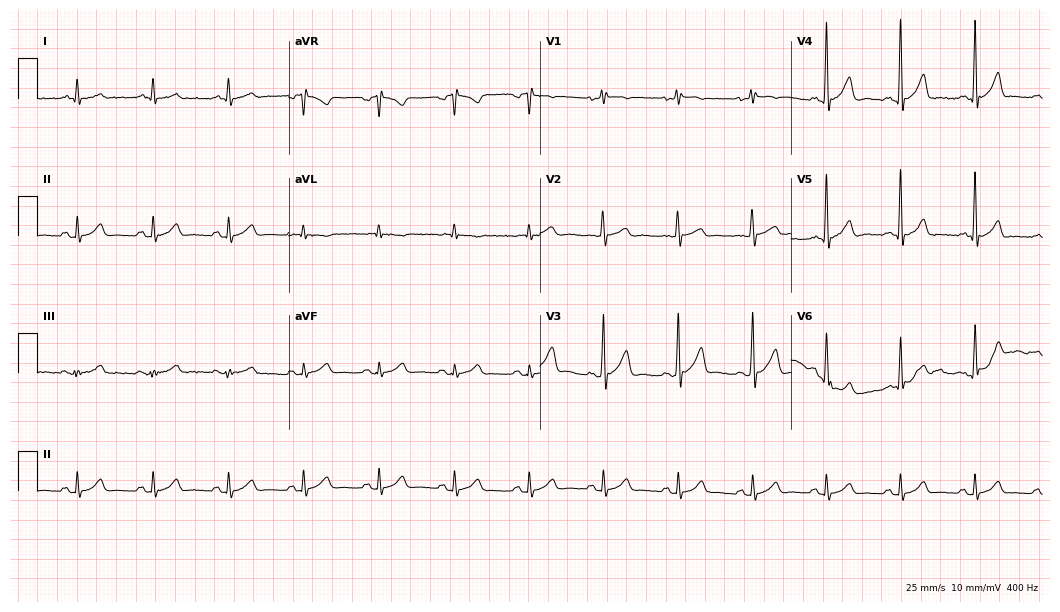
12-lead ECG (10.2-second recording at 400 Hz) from a 59-year-old male. Labelled as a normal ECG.